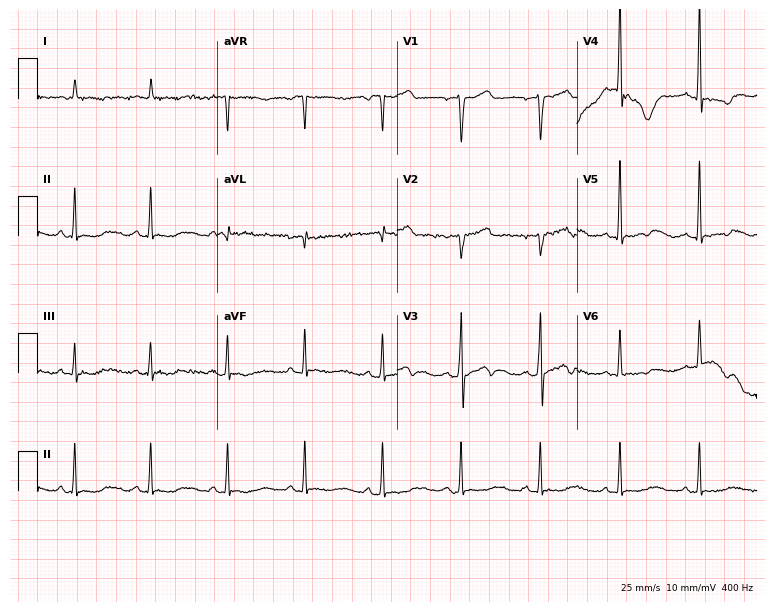
12-lead ECG from a 57-year-old male (7.3-second recording at 400 Hz). No first-degree AV block, right bundle branch block (RBBB), left bundle branch block (LBBB), sinus bradycardia, atrial fibrillation (AF) or sinus tachycardia recorded for this tracing. Only these six findings were labelled.